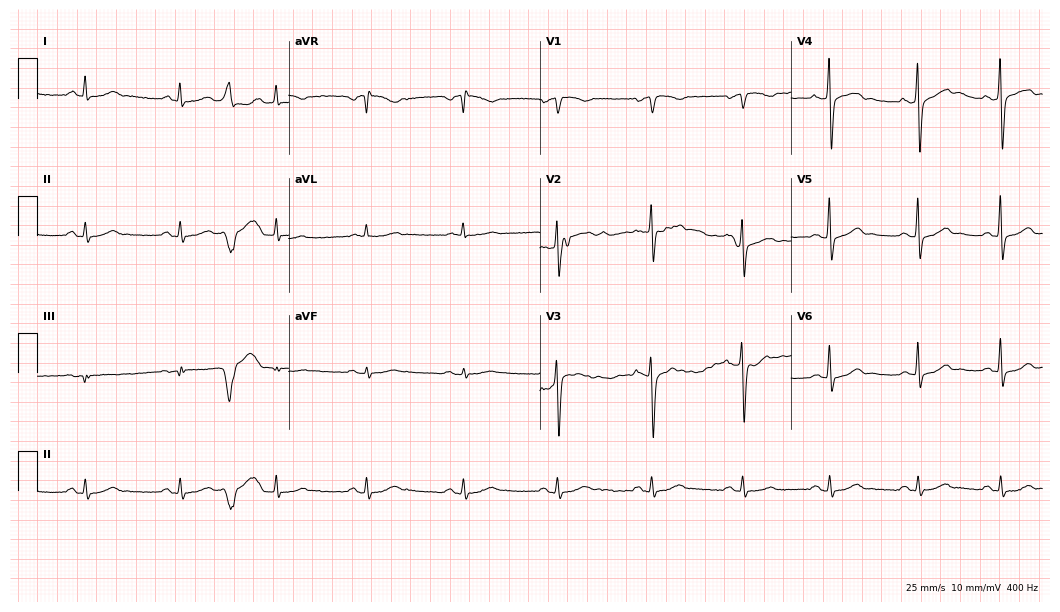
Standard 12-lead ECG recorded from a man, 47 years old. None of these six findings is recorded: first-degree AV block, right bundle branch block, left bundle branch block, sinus bradycardia, atrial fibrillation, sinus tachycardia.